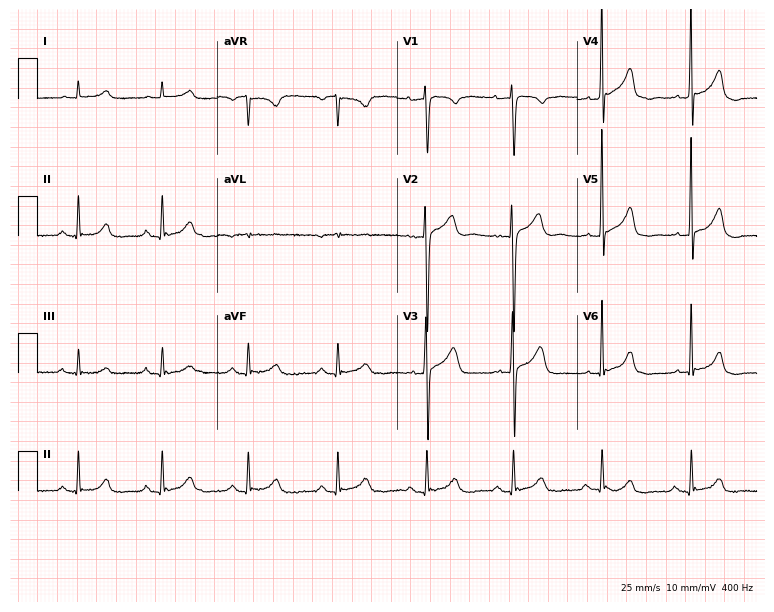
Standard 12-lead ECG recorded from a female, 65 years old. Read as a normal ECG.